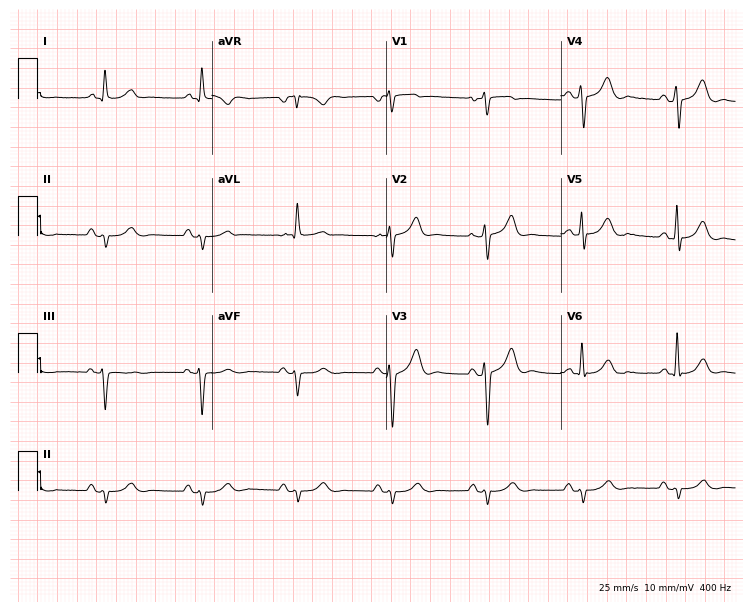
12-lead ECG (7.1-second recording at 400 Hz) from a 66-year-old male patient. Screened for six findings — first-degree AV block, right bundle branch block (RBBB), left bundle branch block (LBBB), sinus bradycardia, atrial fibrillation (AF), sinus tachycardia — none is recorded. Other findings, if any, are not listed.